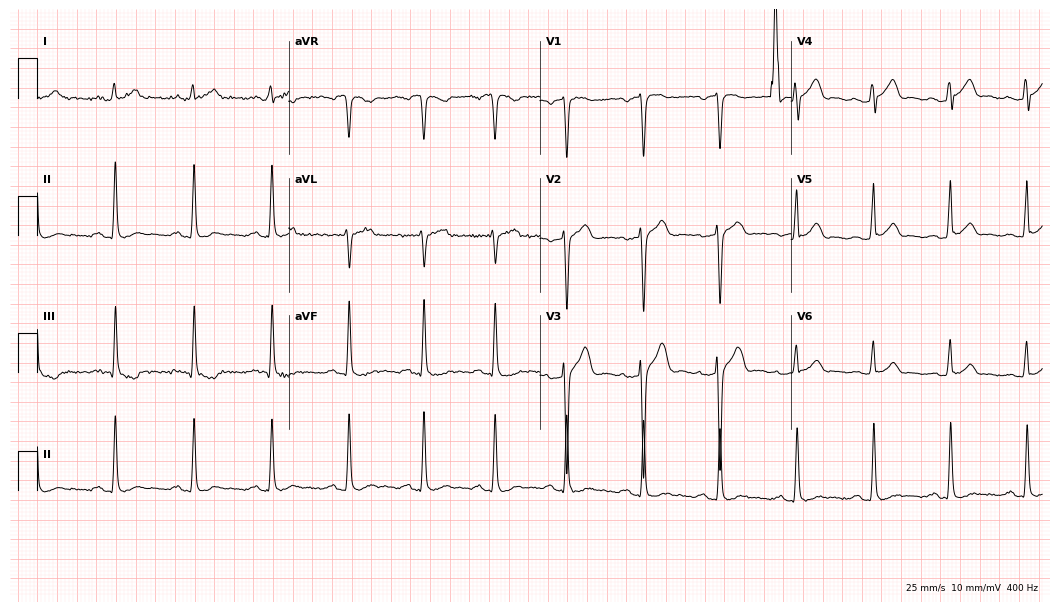
Resting 12-lead electrocardiogram. Patient: a 34-year-old male. None of these six findings is recorded: first-degree AV block, right bundle branch block, left bundle branch block, sinus bradycardia, atrial fibrillation, sinus tachycardia.